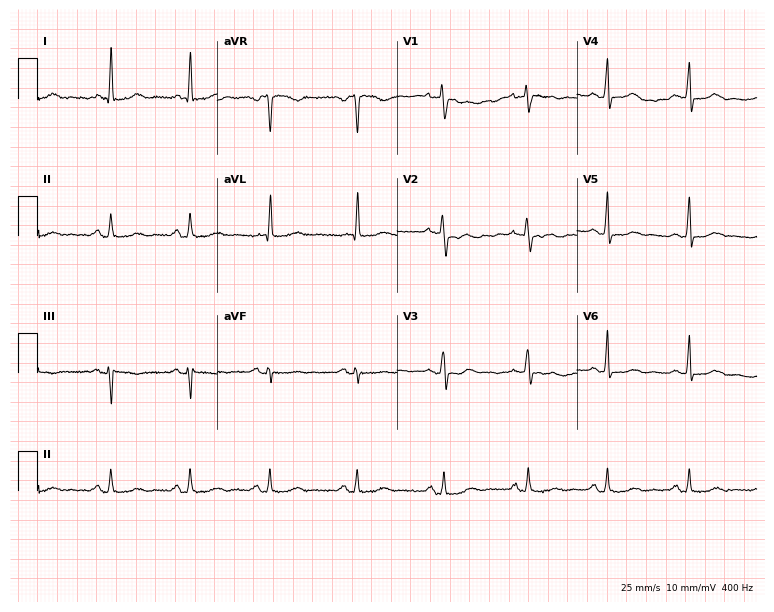
Electrocardiogram, a female, 48 years old. Of the six screened findings (first-degree AV block, right bundle branch block, left bundle branch block, sinus bradycardia, atrial fibrillation, sinus tachycardia), none is recorded.